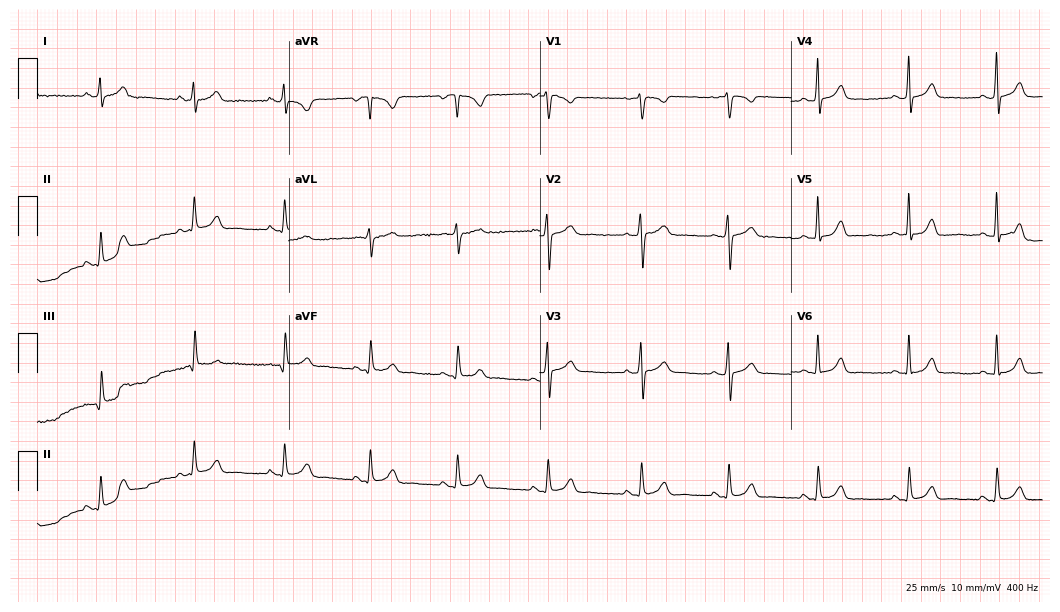
Standard 12-lead ECG recorded from a female patient, 23 years old. None of these six findings is recorded: first-degree AV block, right bundle branch block, left bundle branch block, sinus bradycardia, atrial fibrillation, sinus tachycardia.